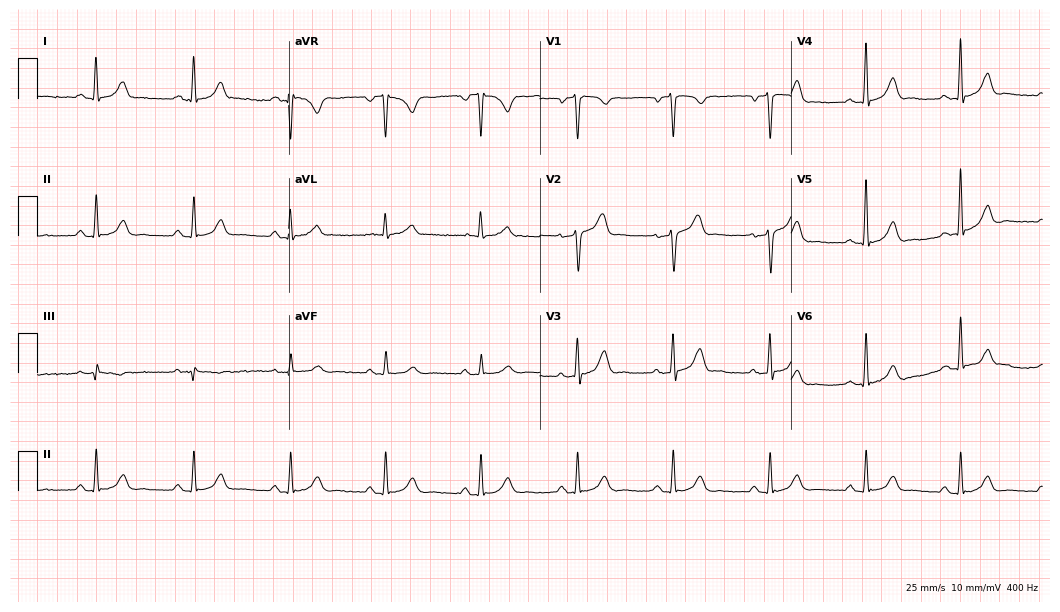
Resting 12-lead electrocardiogram. Patient: a man, 58 years old. None of these six findings is recorded: first-degree AV block, right bundle branch block, left bundle branch block, sinus bradycardia, atrial fibrillation, sinus tachycardia. Other findings, if any, are not listed.